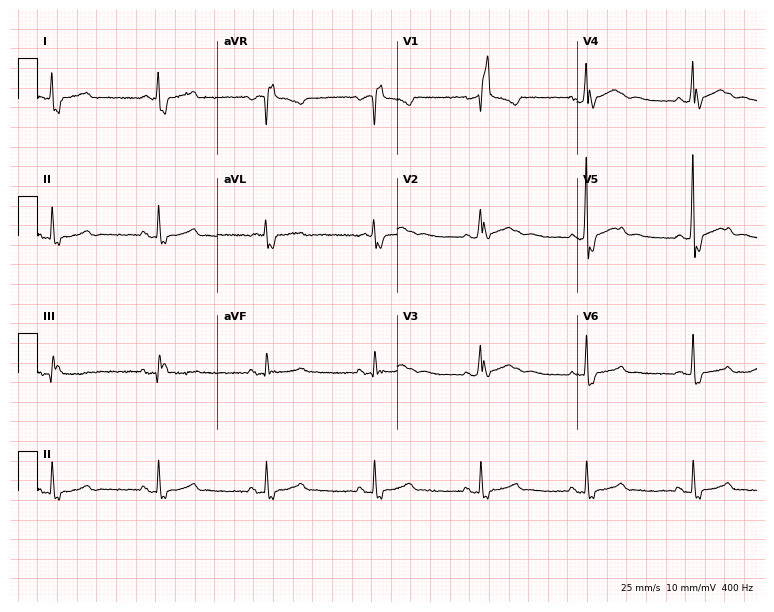
12-lead ECG from a 48-year-old man. Findings include right bundle branch block (RBBB).